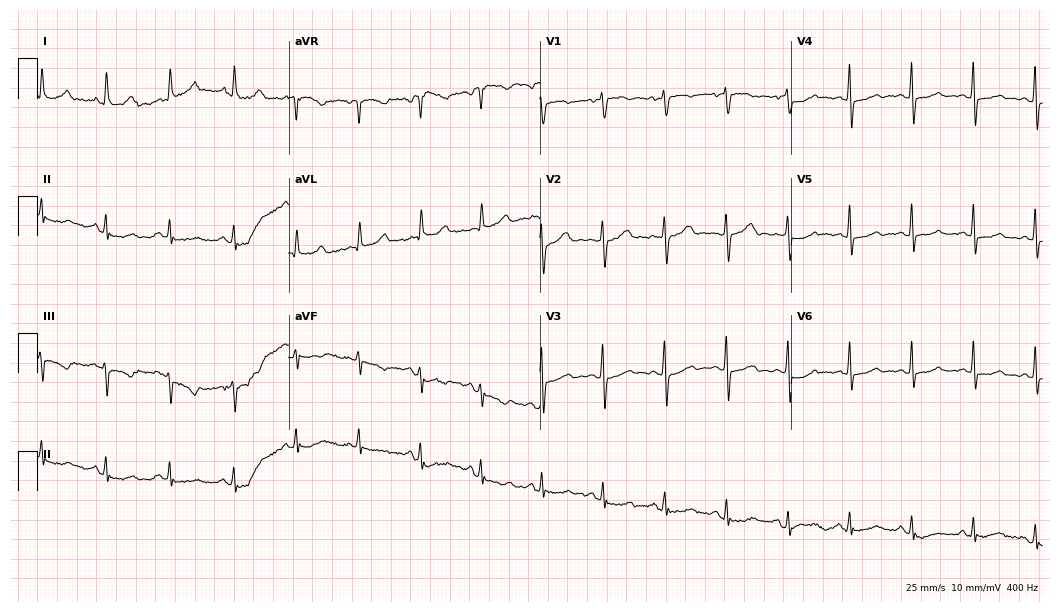
12-lead ECG (10.2-second recording at 400 Hz) from a 66-year-old female. Screened for six findings — first-degree AV block, right bundle branch block, left bundle branch block, sinus bradycardia, atrial fibrillation, sinus tachycardia — none is recorded. Only these six findings were labelled.